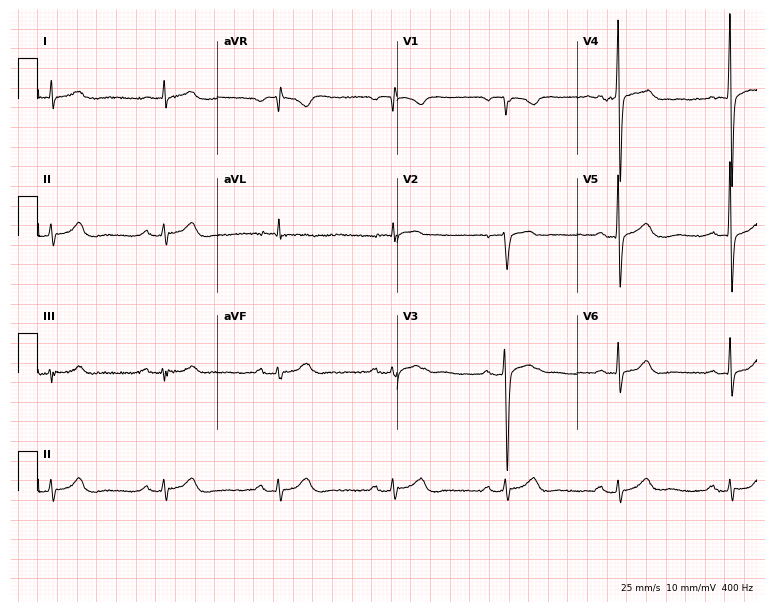
ECG — a male, 71 years old. Findings include first-degree AV block.